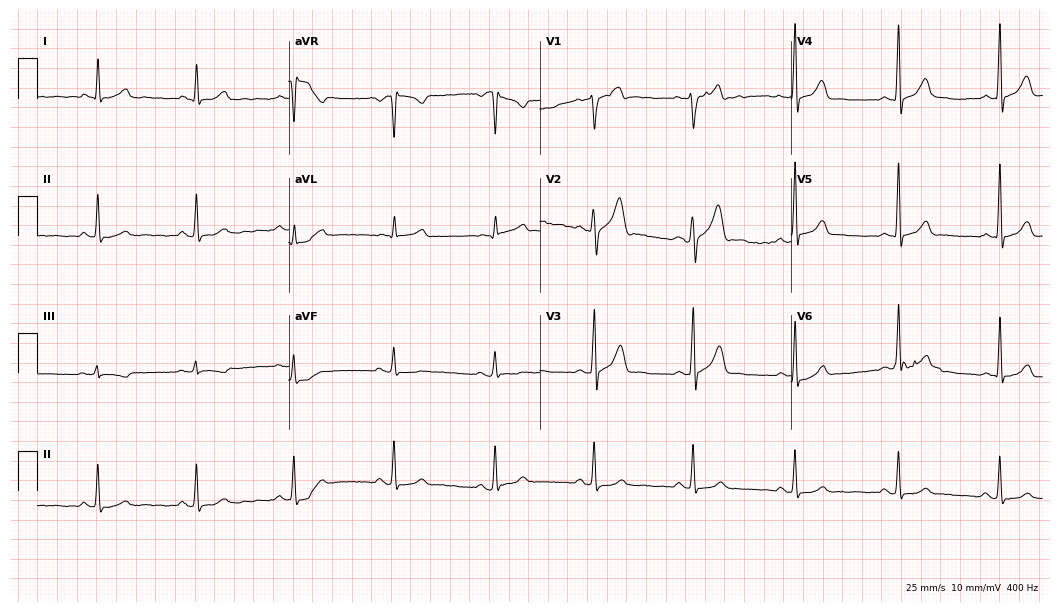
Standard 12-lead ECG recorded from a male patient, 51 years old (10.2-second recording at 400 Hz). Read as a normal ECG.